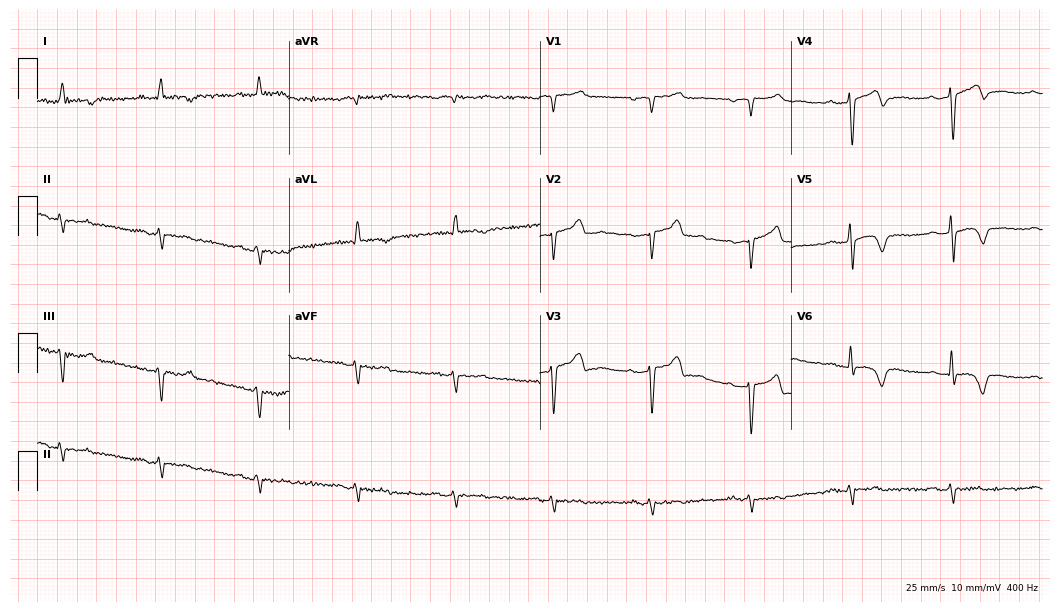
Standard 12-lead ECG recorded from a male patient, 78 years old. None of these six findings is recorded: first-degree AV block, right bundle branch block, left bundle branch block, sinus bradycardia, atrial fibrillation, sinus tachycardia. Findings outside these six are not listed.